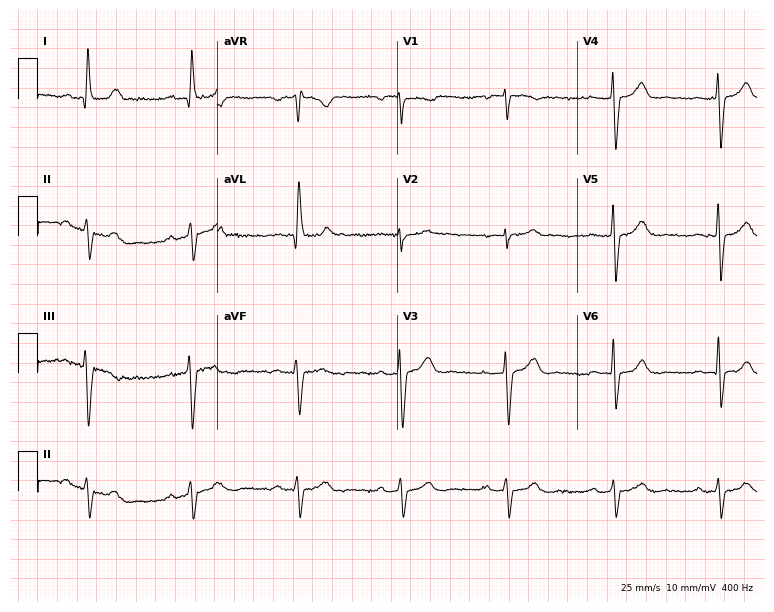
12-lead ECG from a 63-year-old female patient (7.3-second recording at 400 Hz). Shows first-degree AV block.